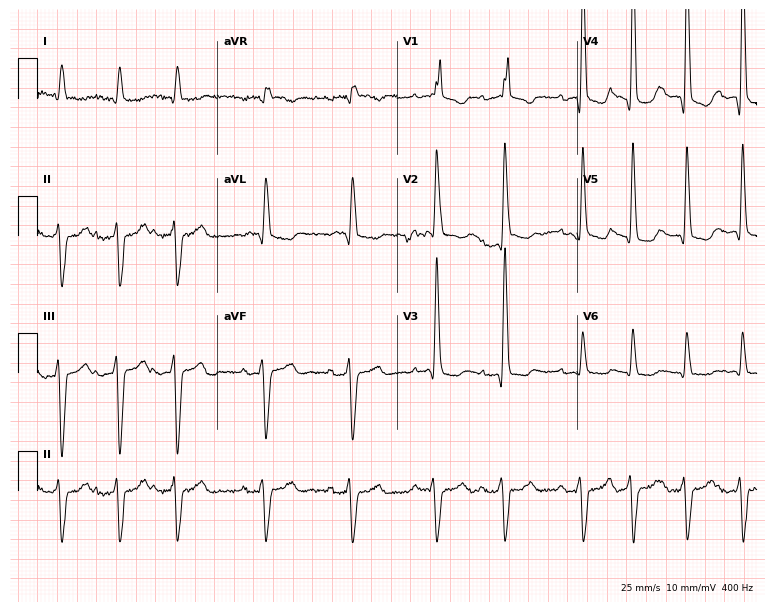
12-lead ECG from an 83-year-old man. Shows right bundle branch block (RBBB), atrial fibrillation (AF).